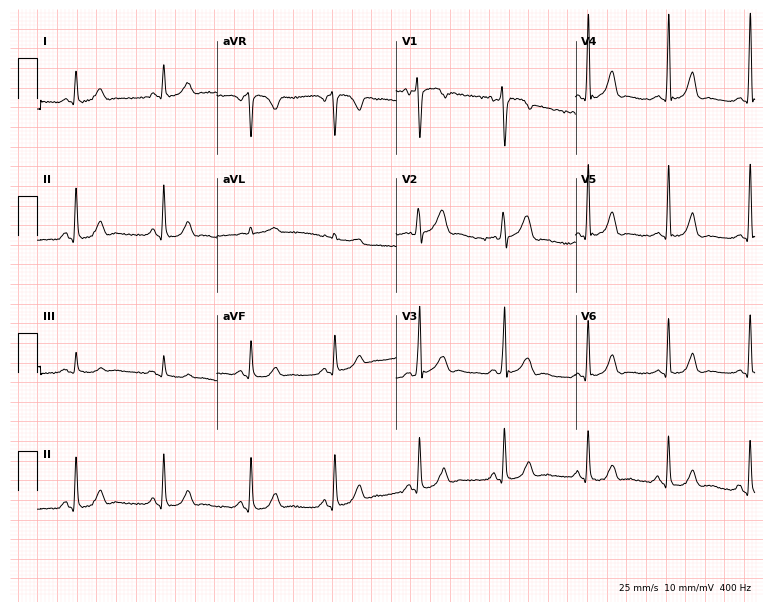
Electrocardiogram (7.3-second recording at 400 Hz), a male, 44 years old. Overall reading on record: normal ECG.